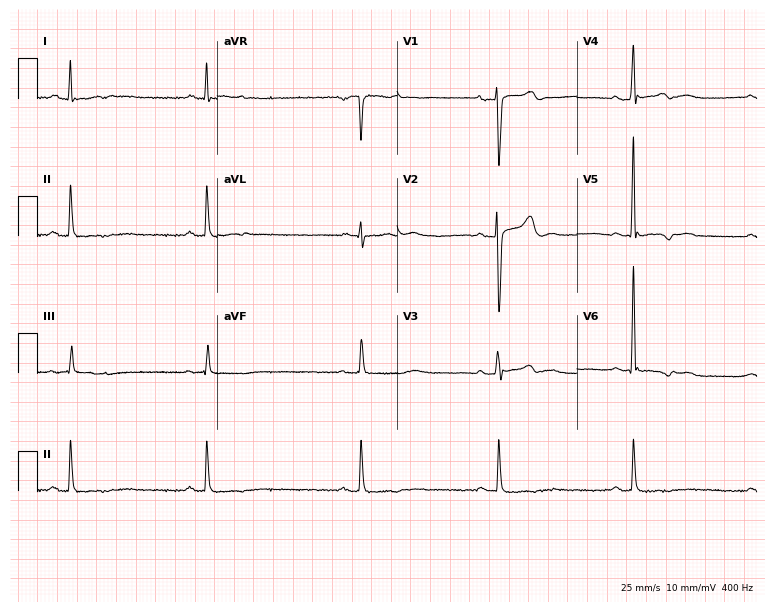
ECG — a 28-year-old man. Findings include sinus bradycardia (a sinus rate of 50 beats per minute or less).